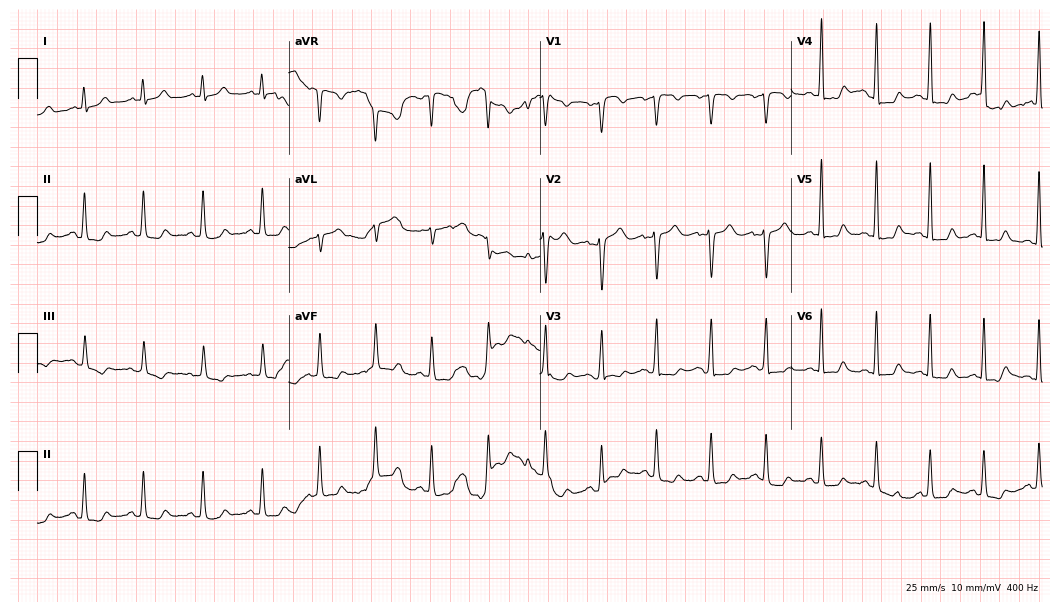
12-lead ECG (10.2-second recording at 400 Hz) from a 36-year-old female. Findings include sinus tachycardia (a sinus rate of 100 beats per minute or more).